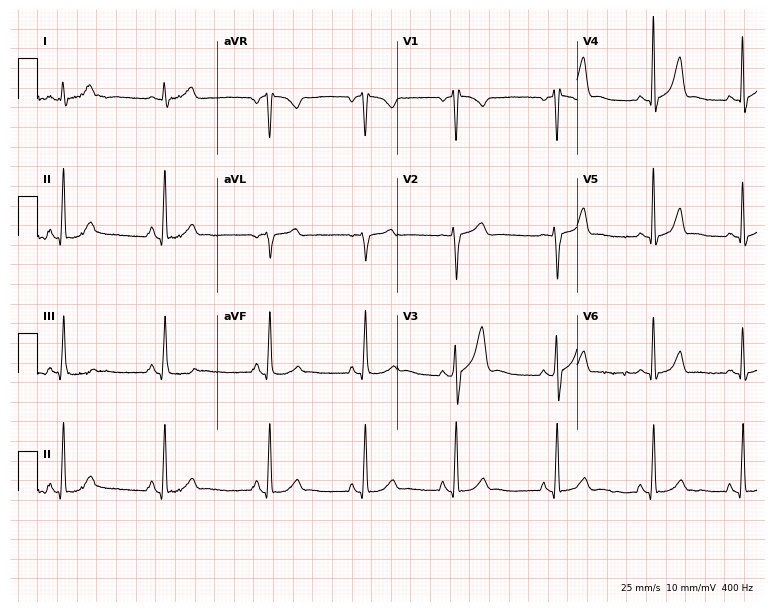
Electrocardiogram (7.3-second recording at 400 Hz), a man, 35 years old. Overall reading on record: normal ECG.